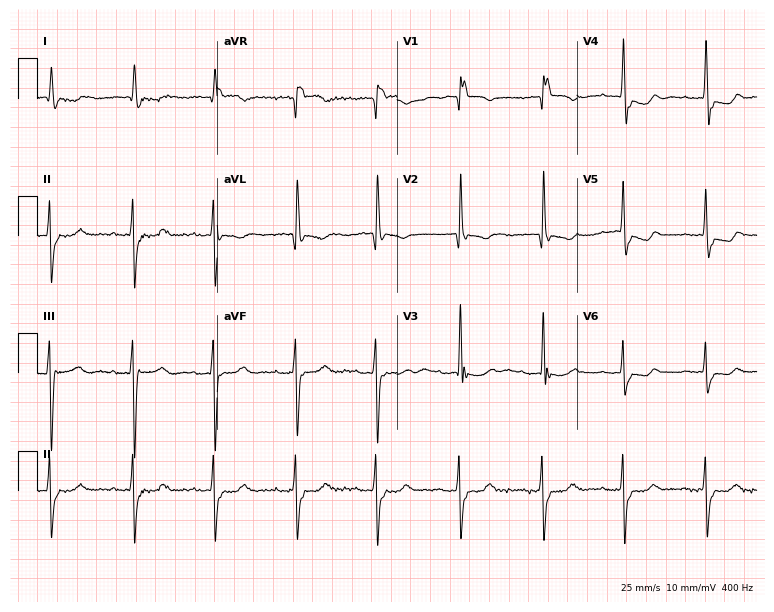
Electrocardiogram (7.3-second recording at 400 Hz), a female patient, 81 years old. Interpretation includes right bundle branch block (RBBB).